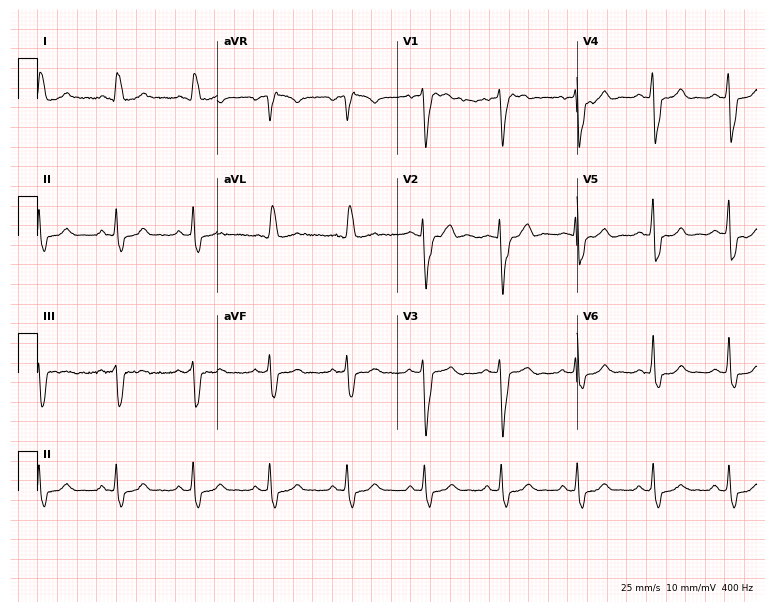
12-lead ECG from a man, 73 years old. No first-degree AV block, right bundle branch block, left bundle branch block, sinus bradycardia, atrial fibrillation or sinus tachycardia recorded for this tracing.